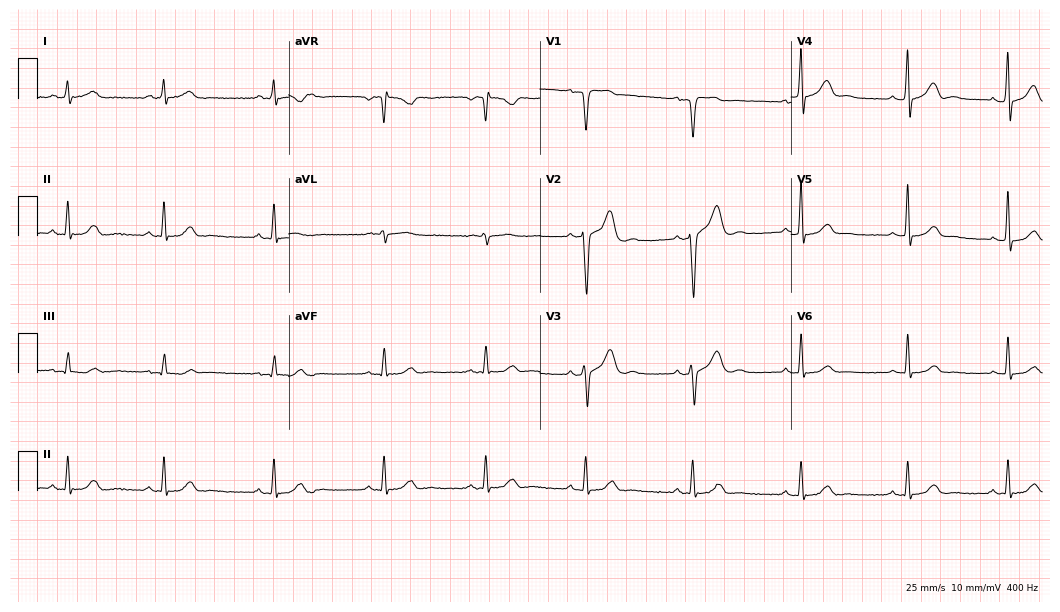
Resting 12-lead electrocardiogram (10.2-second recording at 400 Hz). Patient: a man, 45 years old. None of these six findings is recorded: first-degree AV block, right bundle branch block, left bundle branch block, sinus bradycardia, atrial fibrillation, sinus tachycardia. Findings outside these six are not listed.